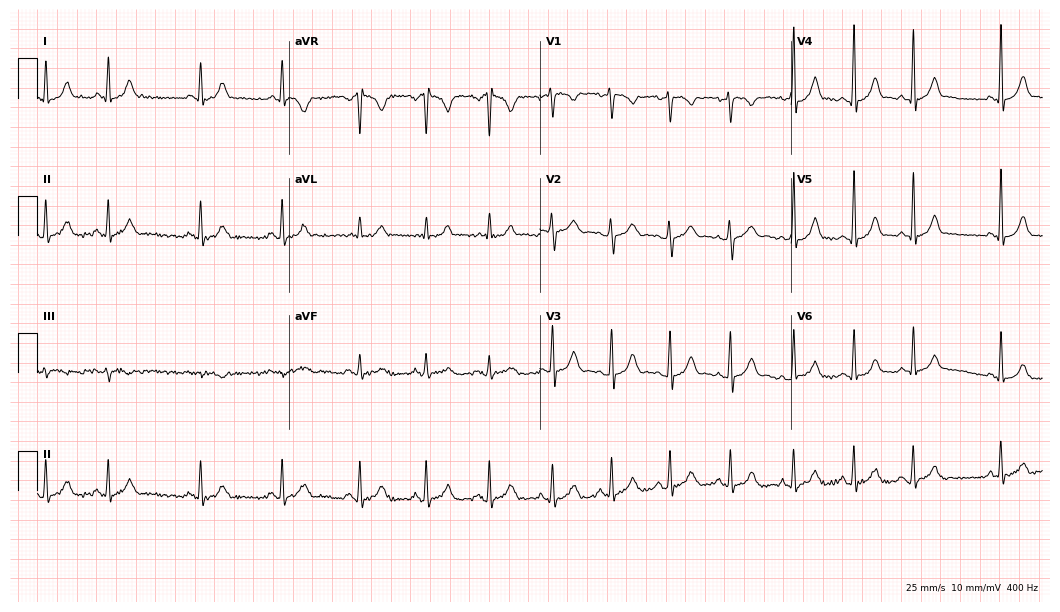
12-lead ECG (10.2-second recording at 400 Hz) from a female, 25 years old. Screened for six findings — first-degree AV block, right bundle branch block (RBBB), left bundle branch block (LBBB), sinus bradycardia, atrial fibrillation (AF), sinus tachycardia — none is recorded.